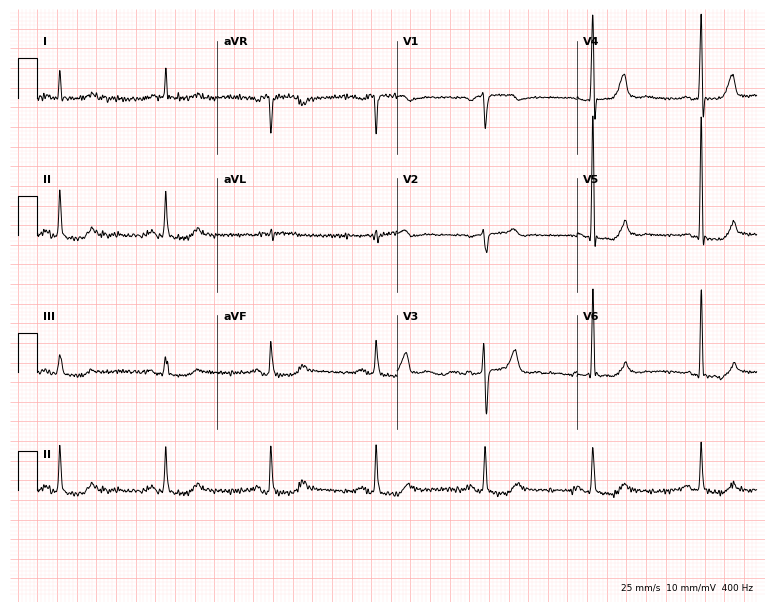
ECG — a 76-year-old male patient. Screened for six findings — first-degree AV block, right bundle branch block, left bundle branch block, sinus bradycardia, atrial fibrillation, sinus tachycardia — none is recorded.